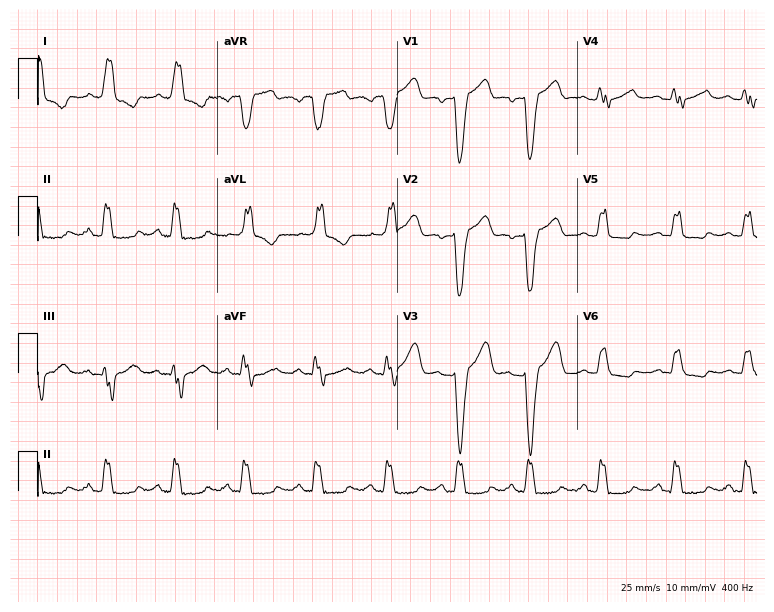
Resting 12-lead electrocardiogram (7.3-second recording at 400 Hz). Patient: a 49-year-old female. The tracing shows left bundle branch block.